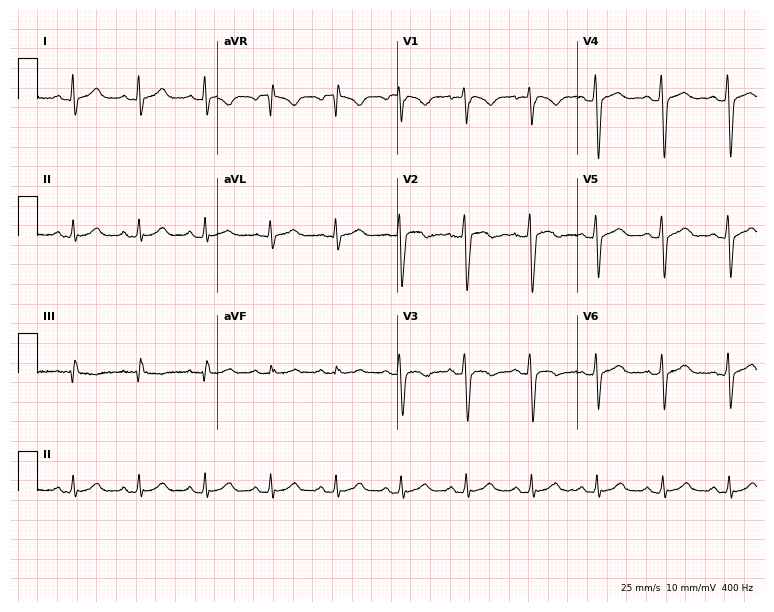
Standard 12-lead ECG recorded from a 32-year-old male patient. None of these six findings is recorded: first-degree AV block, right bundle branch block, left bundle branch block, sinus bradycardia, atrial fibrillation, sinus tachycardia.